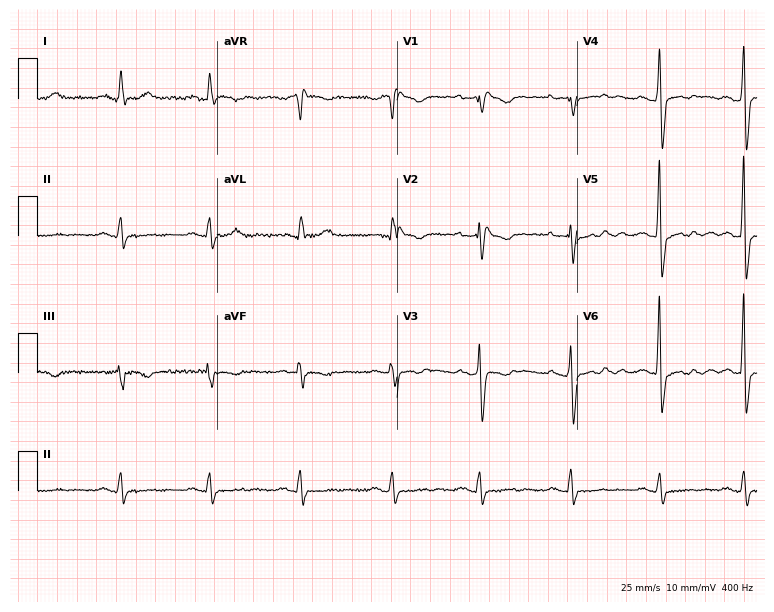
12-lead ECG from a 36-year-old female patient. Screened for six findings — first-degree AV block, right bundle branch block, left bundle branch block, sinus bradycardia, atrial fibrillation, sinus tachycardia — none is recorded. Only these six findings were labelled.